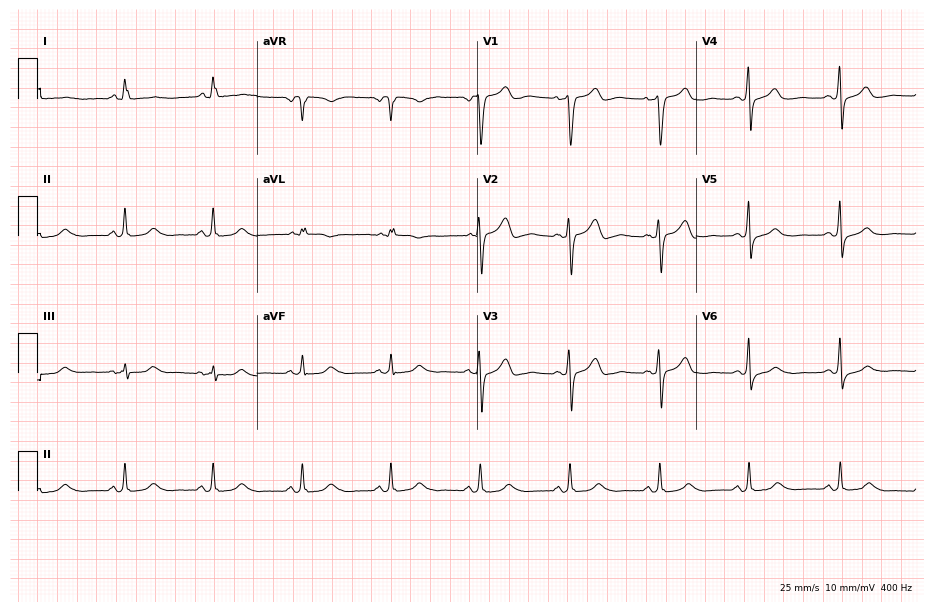
Standard 12-lead ECG recorded from a 58-year-old female patient. None of these six findings is recorded: first-degree AV block, right bundle branch block, left bundle branch block, sinus bradycardia, atrial fibrillation, sinus tachycardia.